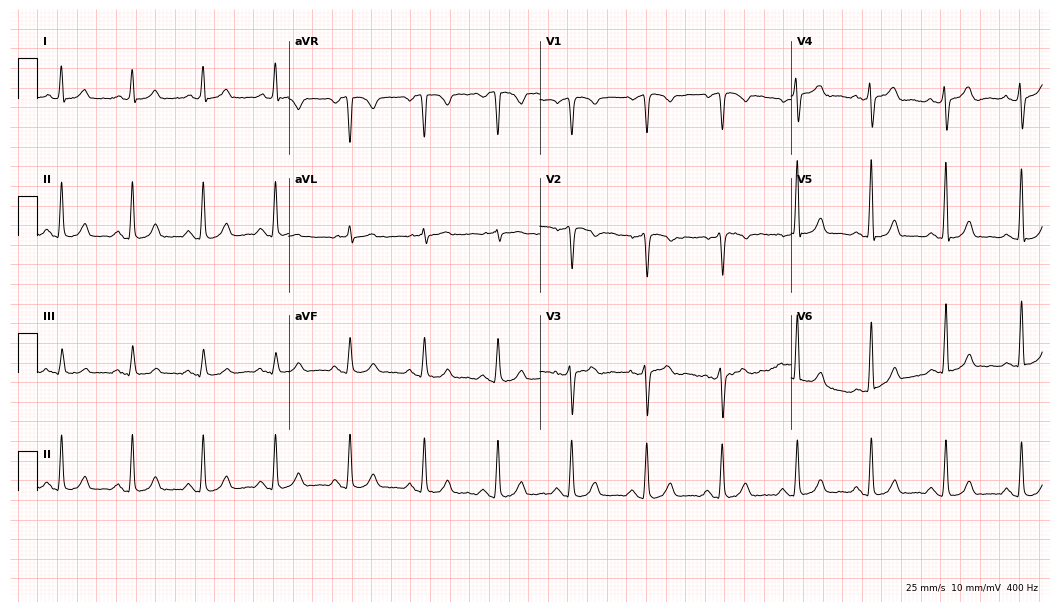
ECG (10.2-second recording at 400 Hz) — a 50-year-old female patient. Labelled as a normal ECG.